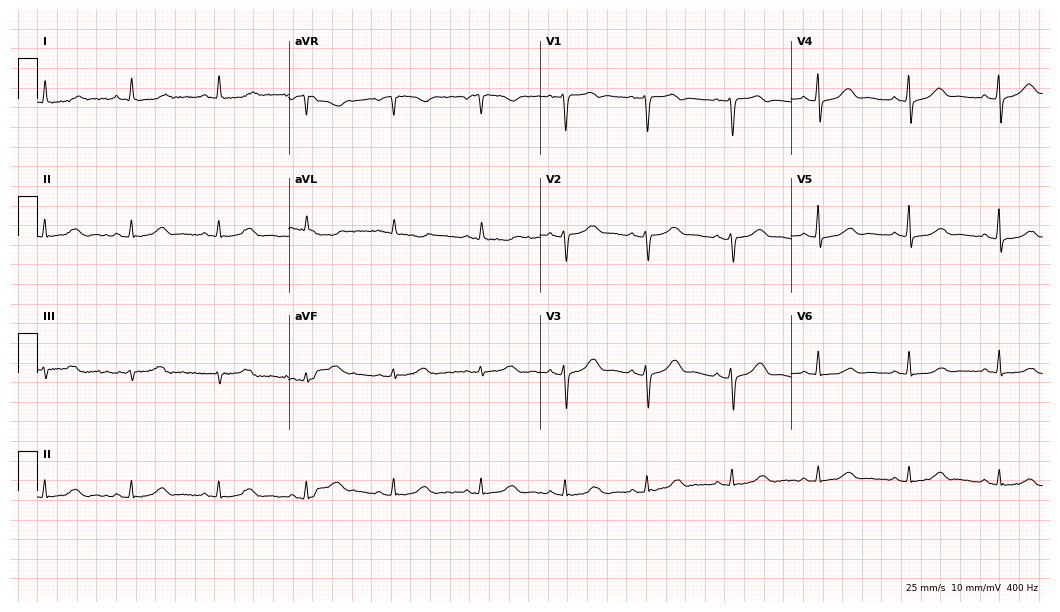
Electrocardiogram, a 60-year-old female. Of the six screened findings (first-degree AV block, right bundle branch block, left bundle branch block, sinus bradycardia, atrial fibrillation, sinus tachycardia), none is recorded.